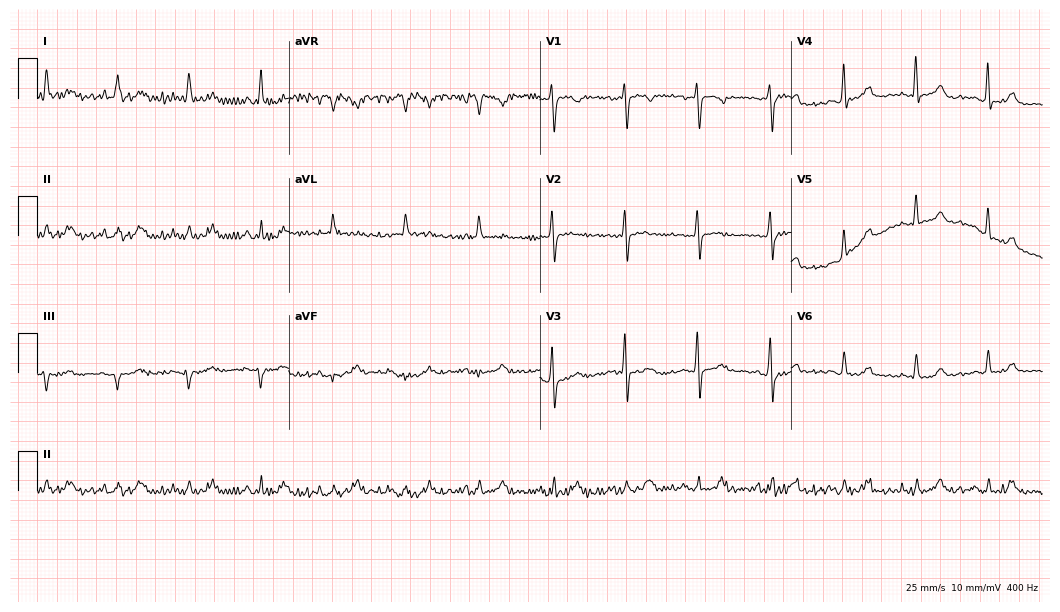
ECG — a 68-year-old female patient. Labelled as a normal ECG.